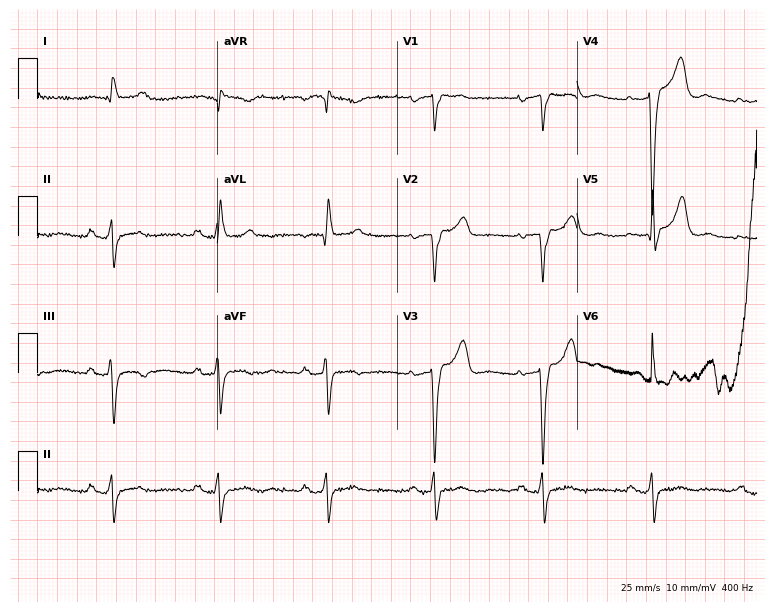
Resting 12-lead electrocardiogram (7.3-second recording at 400 Hz). Patient: a male, 73 years old. None of these six findings is recorded: first-degree AV block, right bundle branch block, left bundle branch block, sinus bradycardia, atrial fibrillation, sinus tachycardia. Other findings, if any, are not listed.